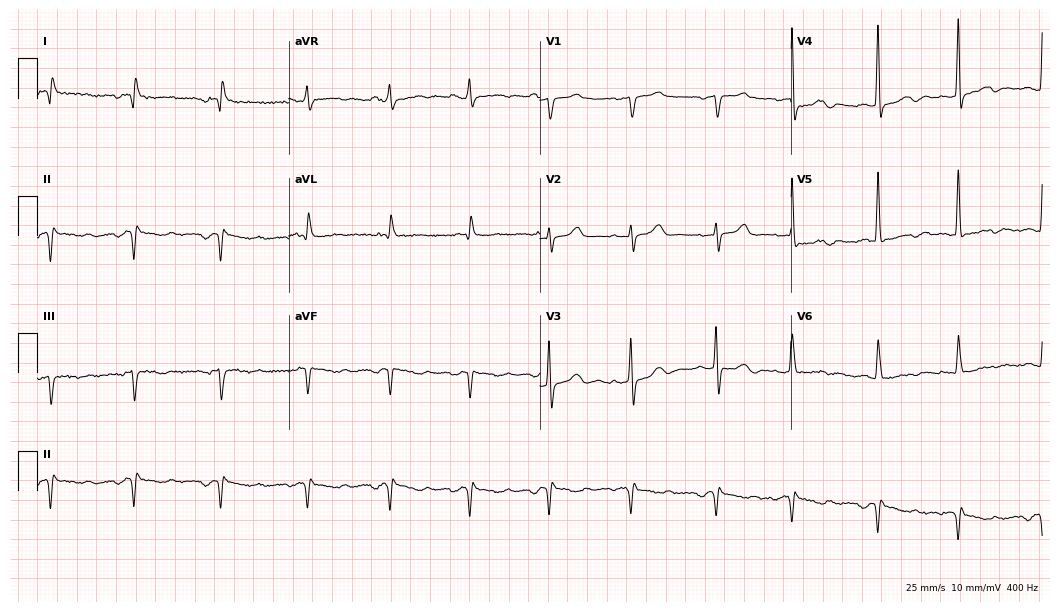
ECG — a man, 77 years old. Screened for six findings — first-degree AV block, right bundle branch block, left bundle branch block, sinus bradycardia, atrial fibrillation, sinus tachycardia — none is recorded.